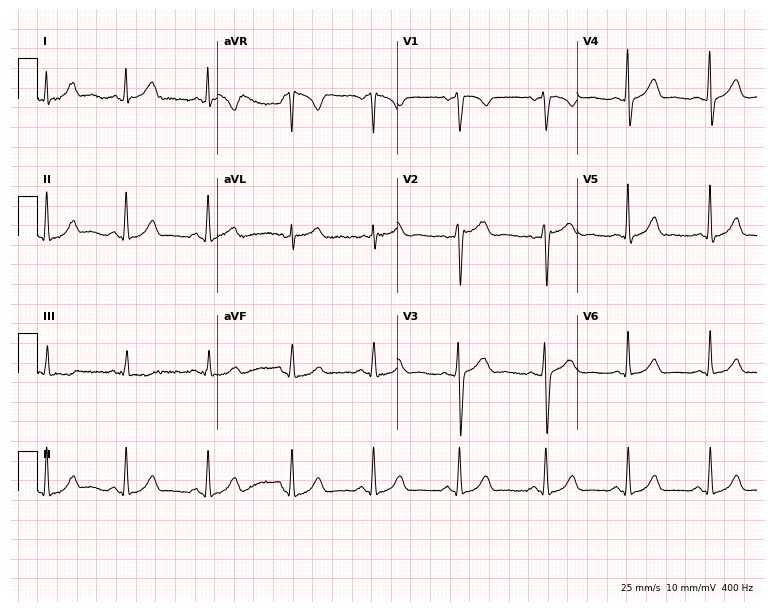
12-lead ECG (7.3-second recording at 400 Hz) from a female, 34 years old. Labelled as a normal ECG.